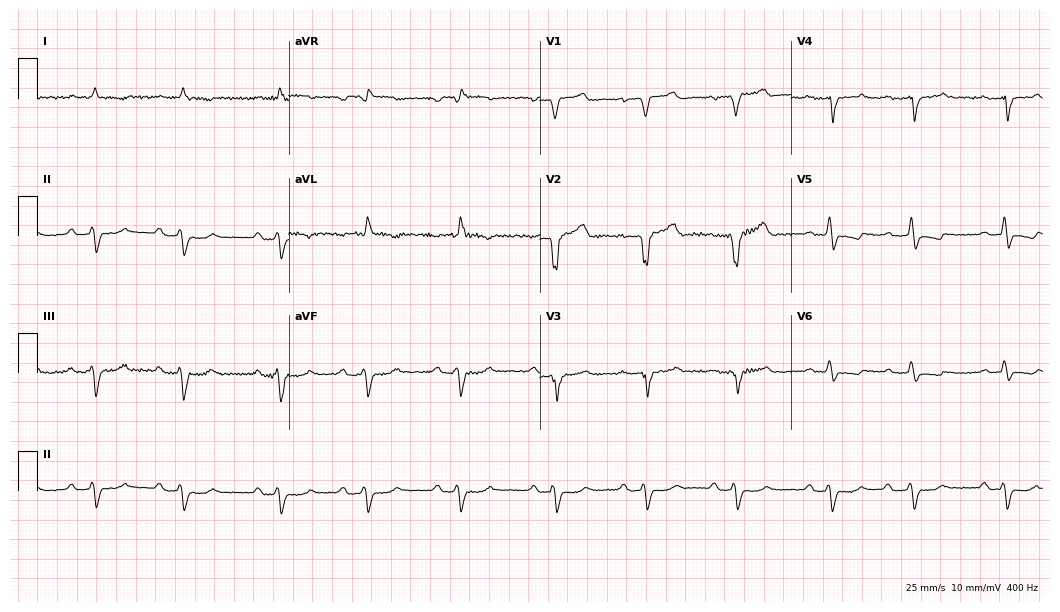
Standard 12-lead ECG recorded from a 55-year-old male (10.2-second recording at 400 Hz). The tracing shows first-degree AV block, left bundle branch block.